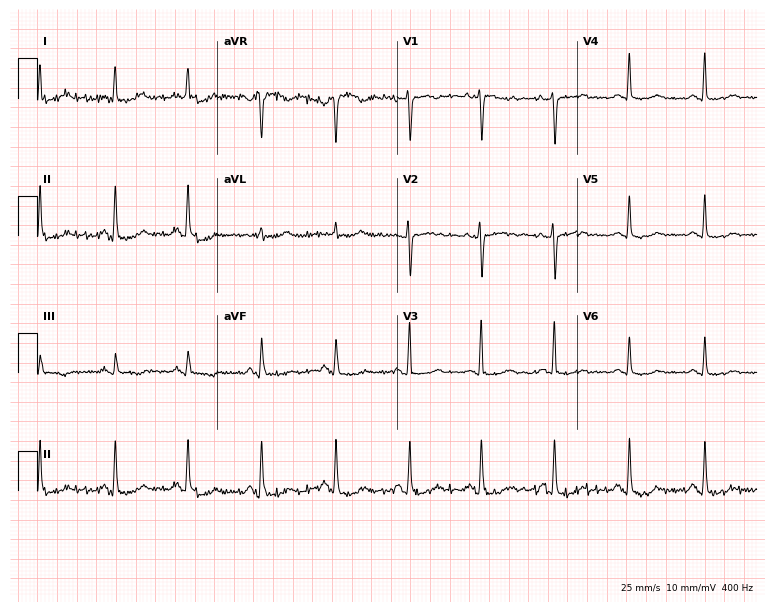
12-lead ECG (7.3-second recording at 400 Hz) from a 34-year-old woman. Labelled as a normal ECG.